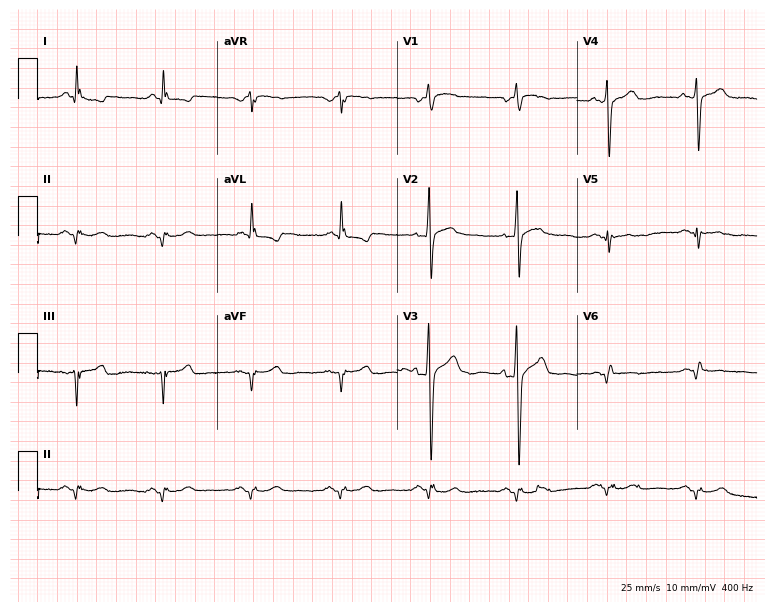
12-lead ECG from a 58-year-old male. Screened for six findings — first-degree AV block, right bundle branch block, left bundle branch block, sinus bradycardia, atrial fibrillation, sinus tachycardia — none is recorded.